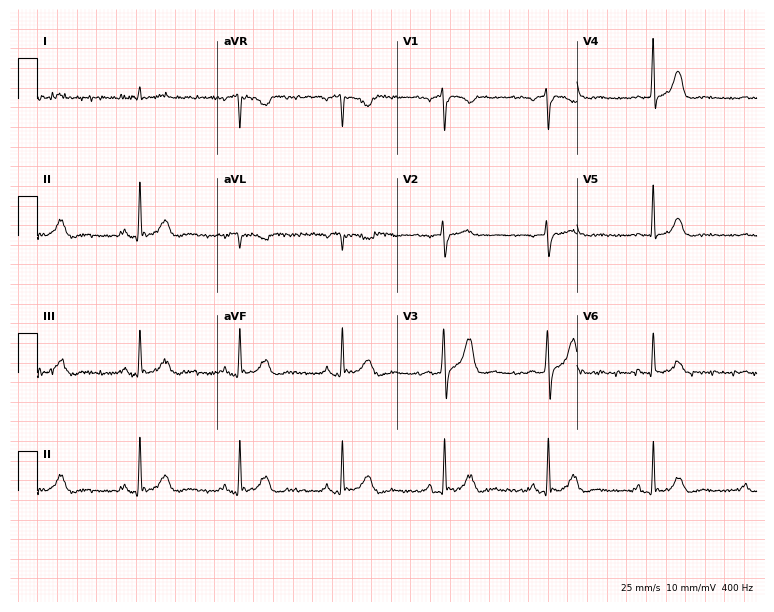
Electrocardiogram (7.3-second recording at 400 Hz), a male, 63 years old. Overall reading on record: normal ECG.